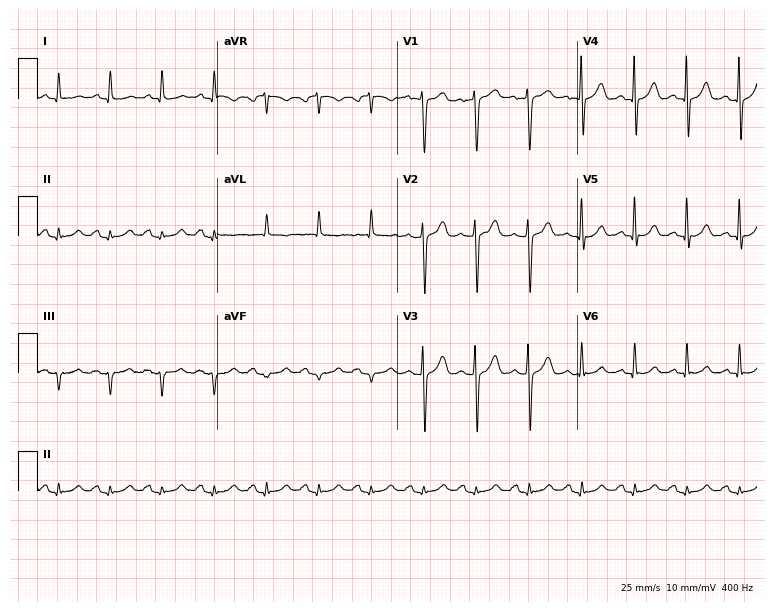
ECG — a 65-year-old man. Findings include sinus tachycardia (a sinus rate of 100 beats per minute or more).